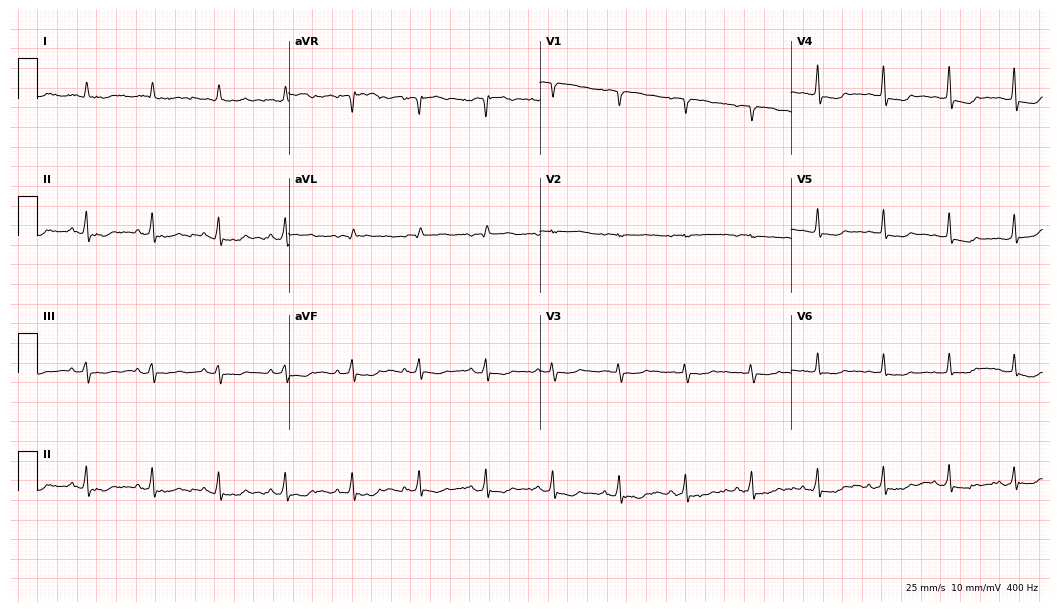
Standard 12-lead ECG recorded from a woman, 63 years old. None of these six findings is recorded: first-degree AV block, right bundle branch block, left bundle branch block, sinus bradycardia, atrial fibrillation, sinus tachycardia. Findings outside these six are not listed.